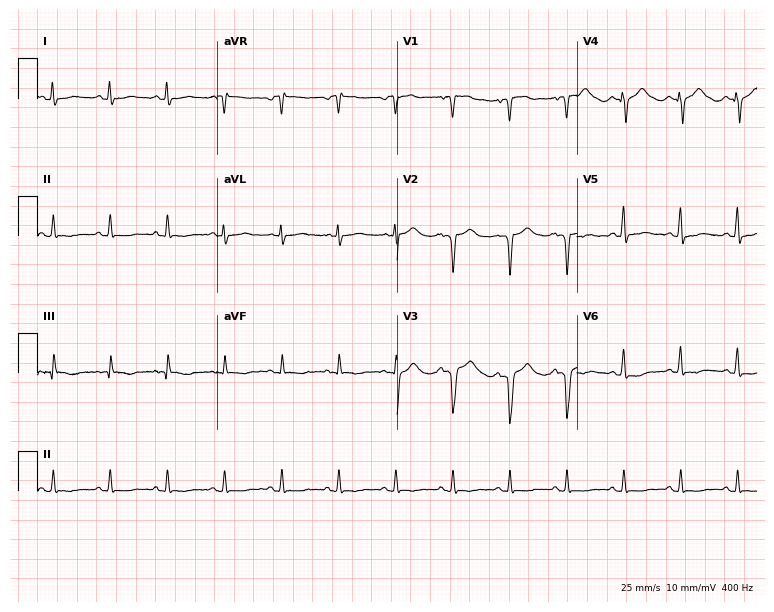
Resting 12-lead electrocardiogram (7.3-second recording at 400 Hz). Patient: a woman, 75 years old. None of these six findings is recorded: first-degree AV block, right bundle branch block (RBBB), left bundle branch block (LBBB), sinus bradycardia, atrial fibrillation (AF), sinus tachycardia.